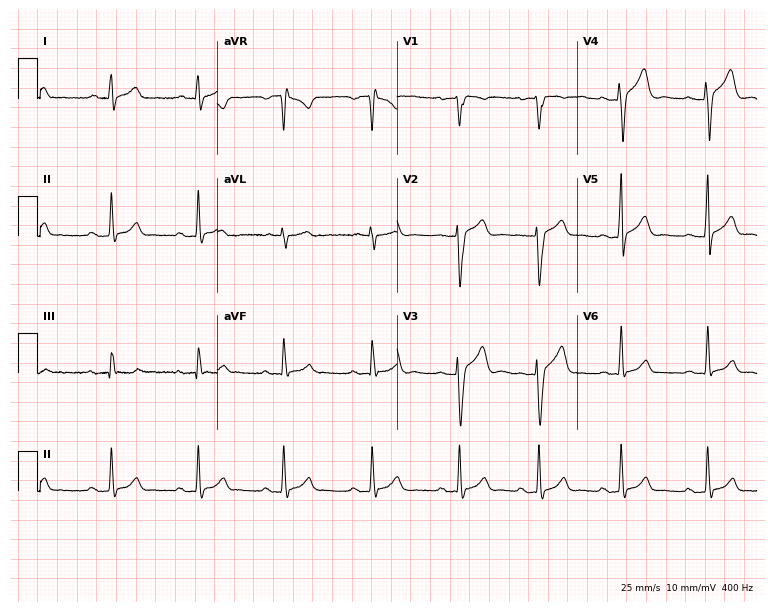
12-lead ECG from a 26-year-old male patient. Labelled as a normal ECG.